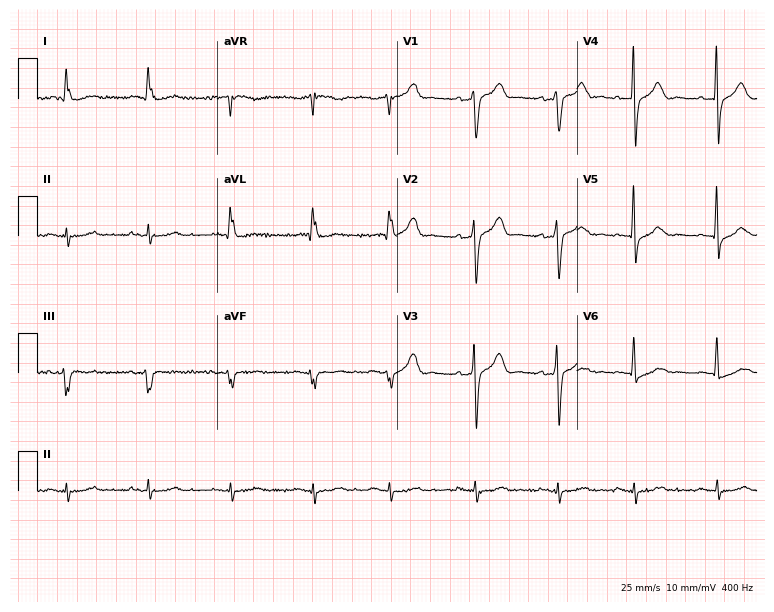
ECG (7.3-second recording at 400 Hz) — a 66-year-old man. Screened for six findings — first-degree AV block, right bundle branch block, left bundle branch block, sinus bradycardia, atrial fibrillation, sinus tachycardia — none is recorded.